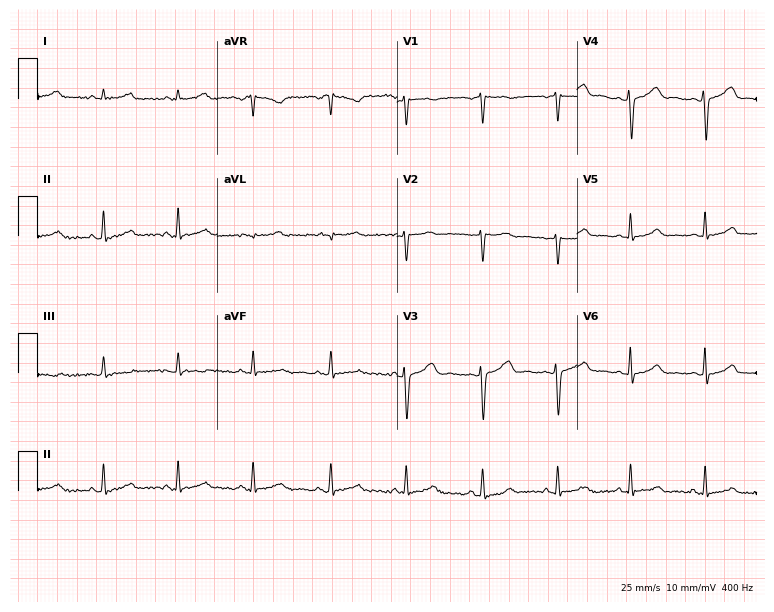
Resting 12-lead electrocardiogram. Patient: a 37-year-old female. None of these six findings is recorded: first-degree AV block, right bundle branch block (RBBB), left bundle branch block (LBBB), sinus bradycardia, atrial fibrillation (AF), sinus tachycardia.